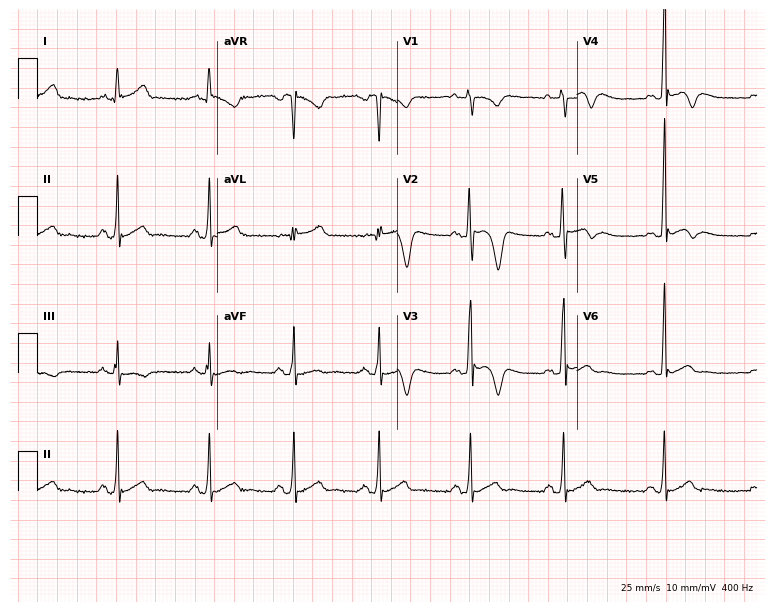
Electrocardiogram, a 27-year-old male. Of the six screened findings (first-degree AV block, right bundle branch block, left bundle branch block, sinus bradycardia, atrial fibrillation, sinus tachycardia), none is recorded.